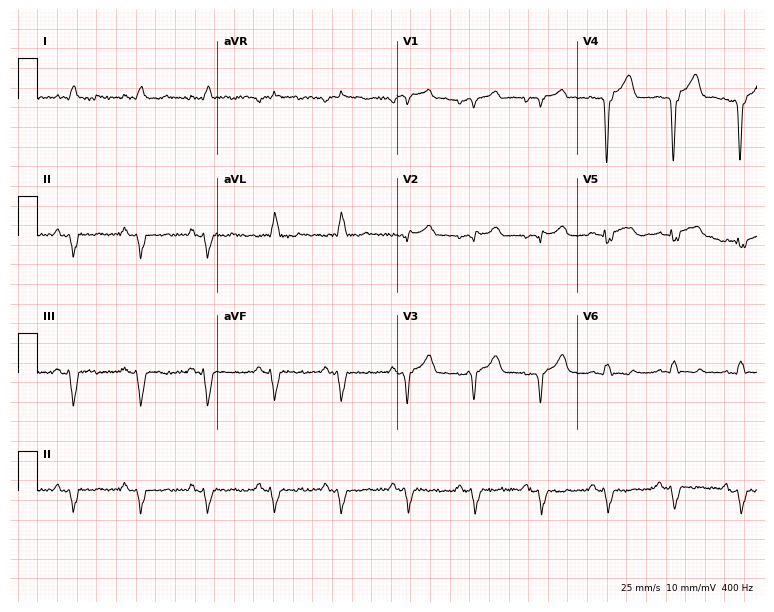
12-lead ECG from a male, 43 years old (7.3-second recording at 400 Hz). No first-degree AV block, right bundle branch block, left bundle branch block, sinus bradycardia, atrial fibrillation or sinus tachycardia recorded for this tracing.